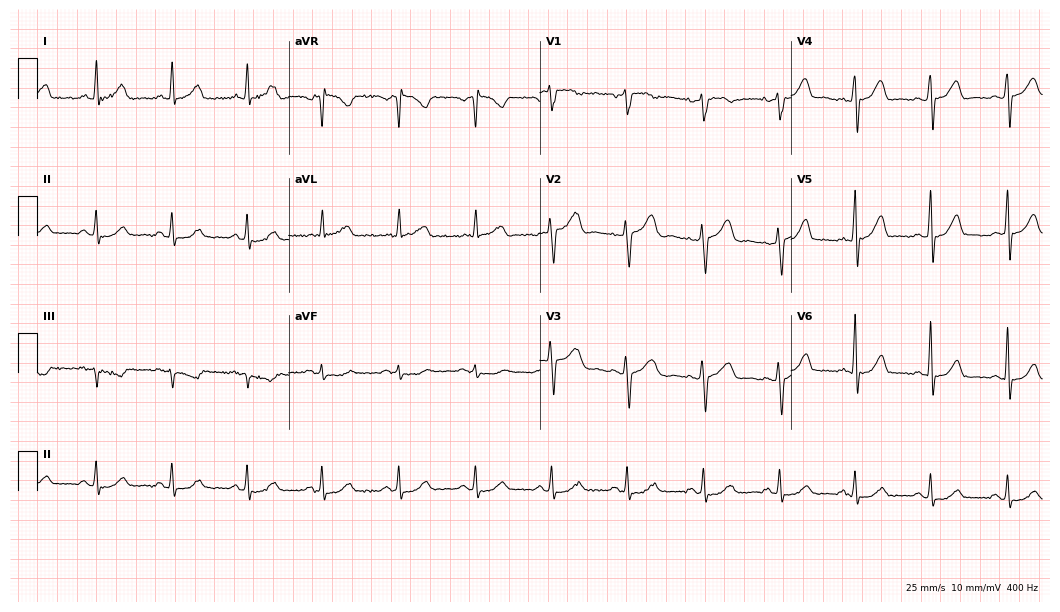
Standard 12-lead ECG recorded from a 45-year-old female patient (10.2-second recording at 400 Hz). Read as a normal ECG.